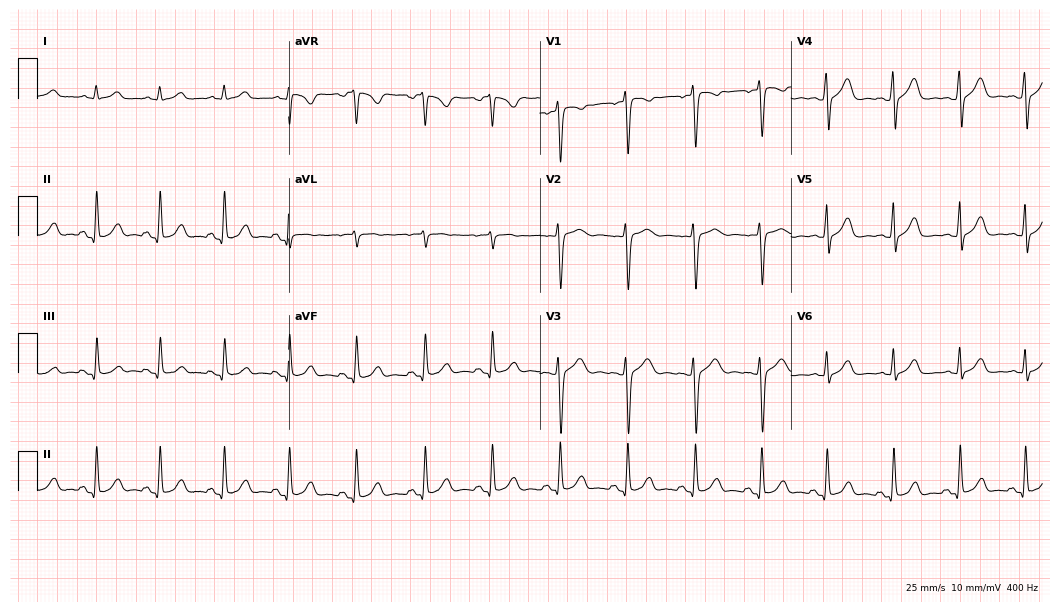
Electrocardiogram (10.2-second recording at 400 Hz), a 37-year-old female. Of the six screened findings (first-degree AV block, right bundle branch block, left bundle branch block, sinus bradycardia, atrial fibrillation, sinus tachycardia), none is recorded.